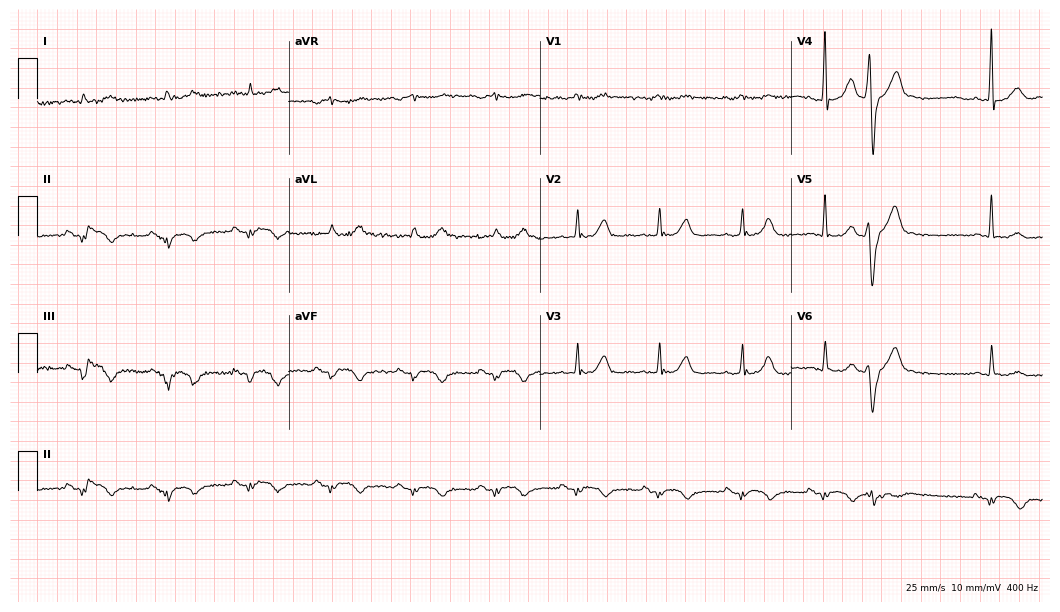
ECG — a 77-year-old man. Screened for six findings — first-degree AV block, right bundle branch block (RBBB), left bundle branch block (LBBB), sinus bradycardia, atrial fibrillation (AF), sinus tachycardia — none is recorded. Other findings, if any, are not listed.